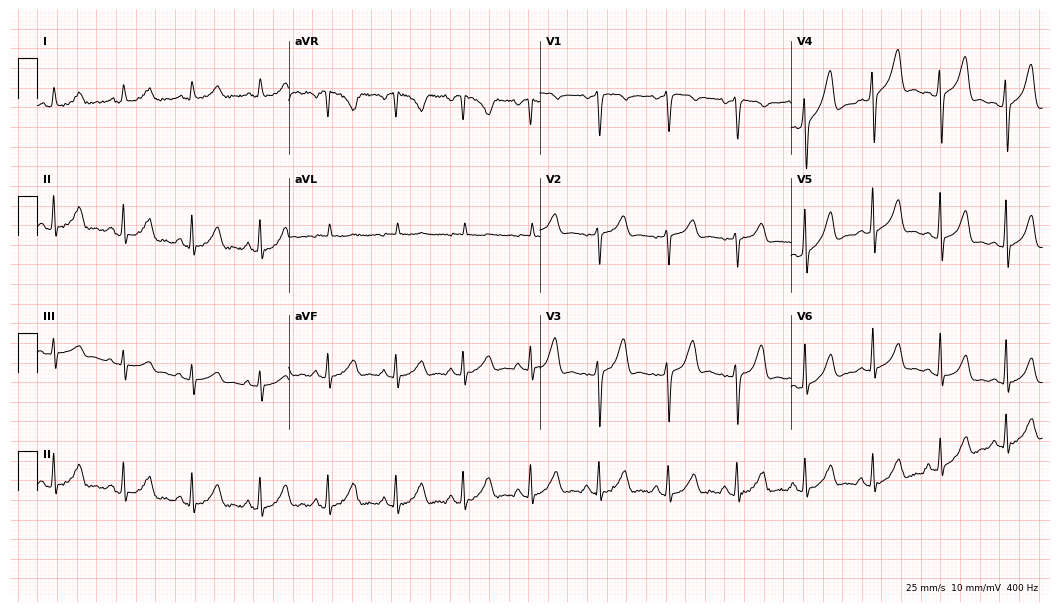
Resting 12-lead electrocardiogram. Patient: a female, 47 years old. Read as a normal ECG.